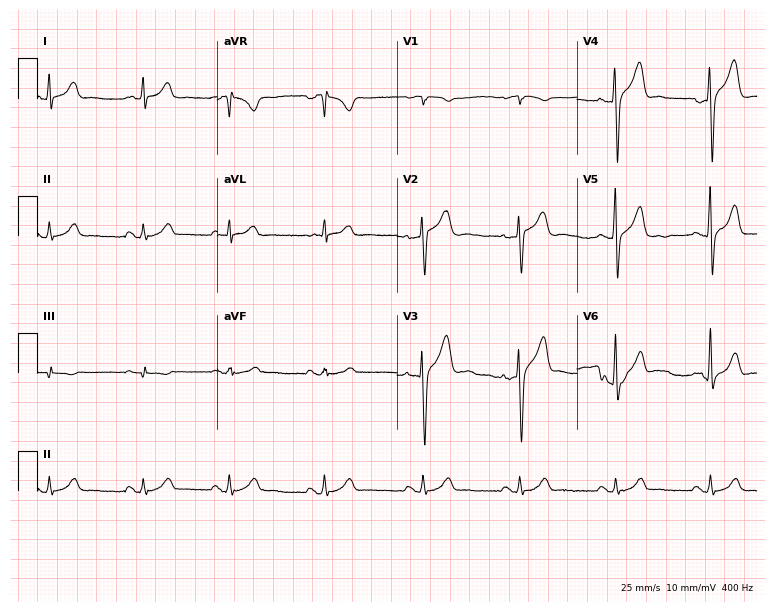
Standard 12-lead ECG recorded from a male, 32 years old (7.3-second recording at 400 Hz). None of these six findings is recorded: first-degree AV block, right bundle branch block, left bundle branch block, sinus bradycardia, atrial fibrillation, sinus tachycardia. Only these six findings were labelled.